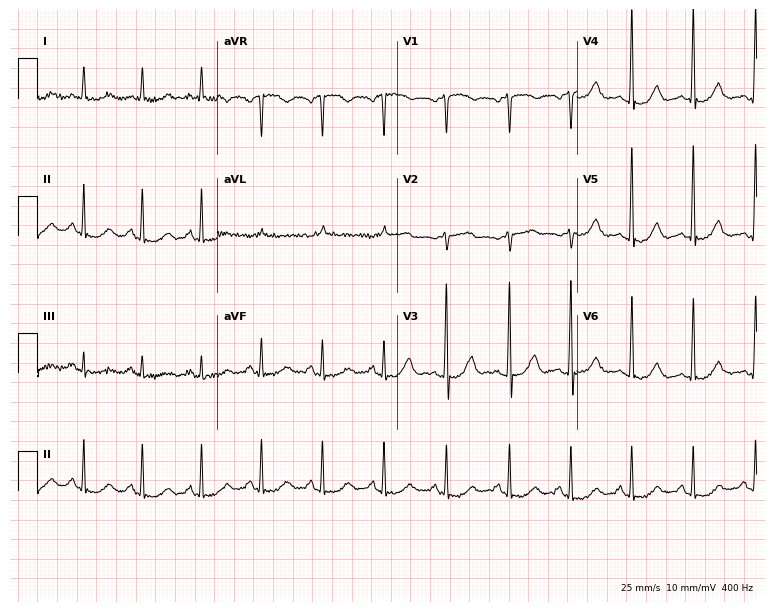
ECG (7.3-second recording at 400 Hz) — a 70-year-old male. Screened for six findings — first-degree AV block, right bundle branch block (RBBB), left bundle branch block (LBBB), sinus bradycardia, atrial fibrillation (AF), sinus tachycardia — none is recorded. Other findings, if any, are not listed.